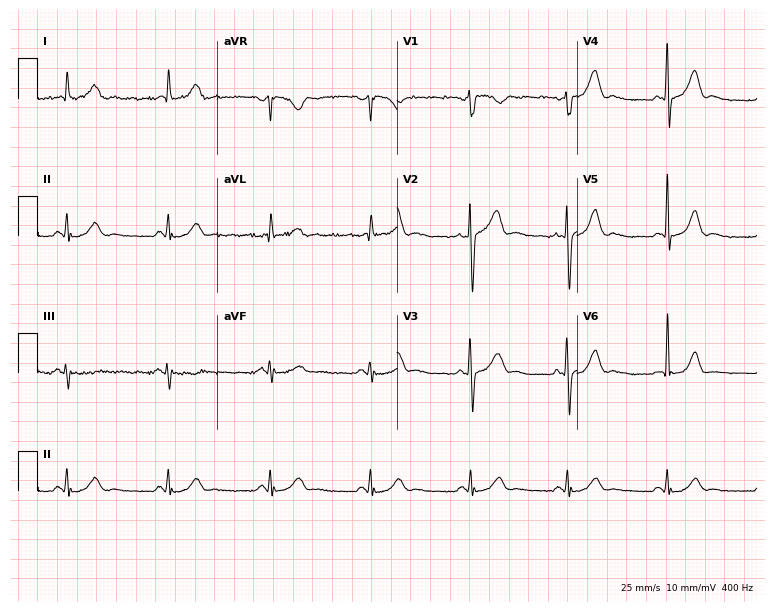
12-lead ECG (7.3-second recording at 400 Hz) from a male, 58 years old. Screened for six findings — first-degree AV block, right bundle branch block, left bundle branch block, sinus bradycardia, atrial fibrillation, sinus tachycardia — none is recorded. Other findings, if any, are not listed.